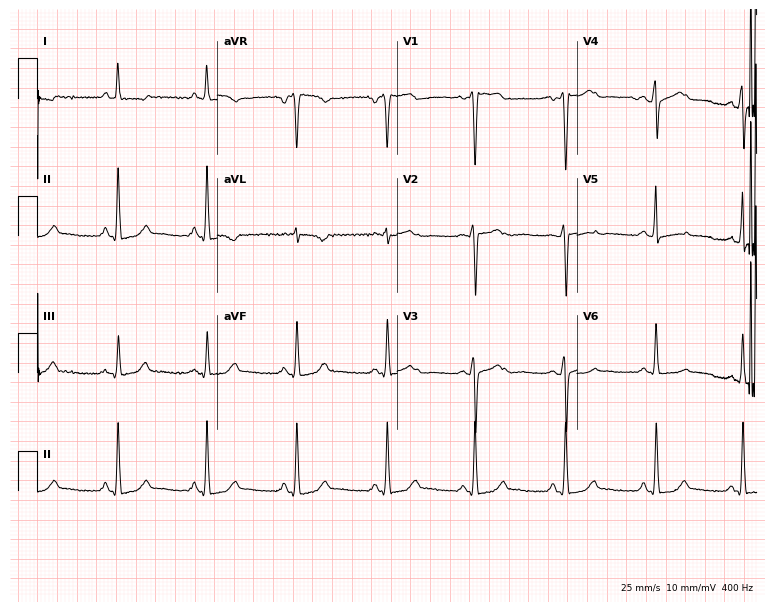
12-lead ECG from a female patient, 52 years old (7.3-second recording at 400 Hz). No first-degree AV block, right bundle branch block, left bundle branch block, sinus bradycardia, atrial fibrillation or sinus tachycardia recorded for this tracing. Only these six findings were labelled.